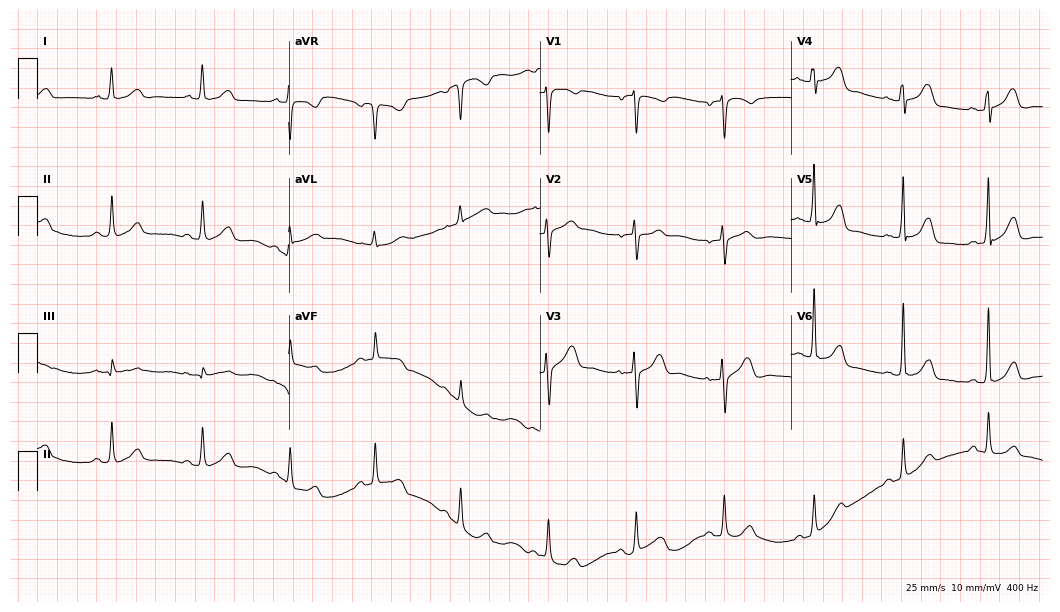
Resting 12-lead electrocardiogram. Patient: a female, 82 years old. Read as a normal ECG.